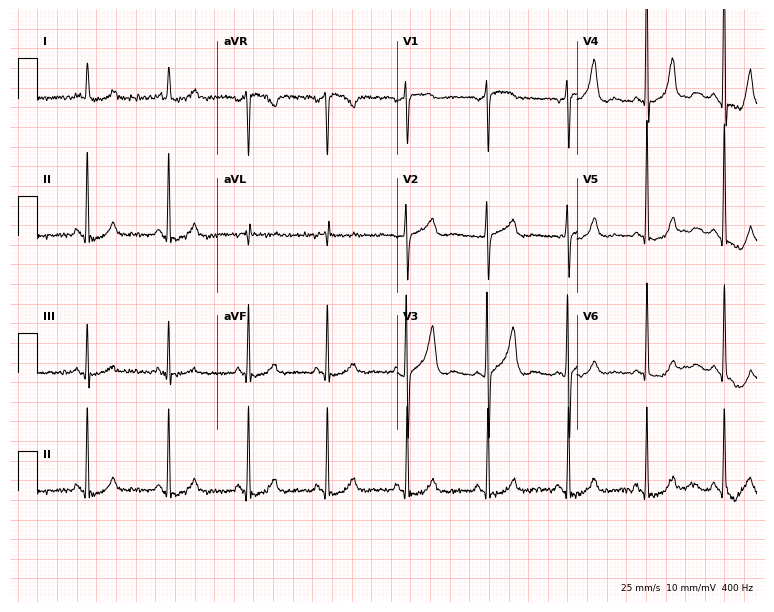
ECG (7.3-second recording at 400 Hz) — a 78-year-old female patient. Screened for six findings — first-degree AV block, right bundle branch block, left bundle branch block, sinus bradycardia, atrial fibrillation, sinus tachycardia — none is recorded. Other findings, if any, are not listed.